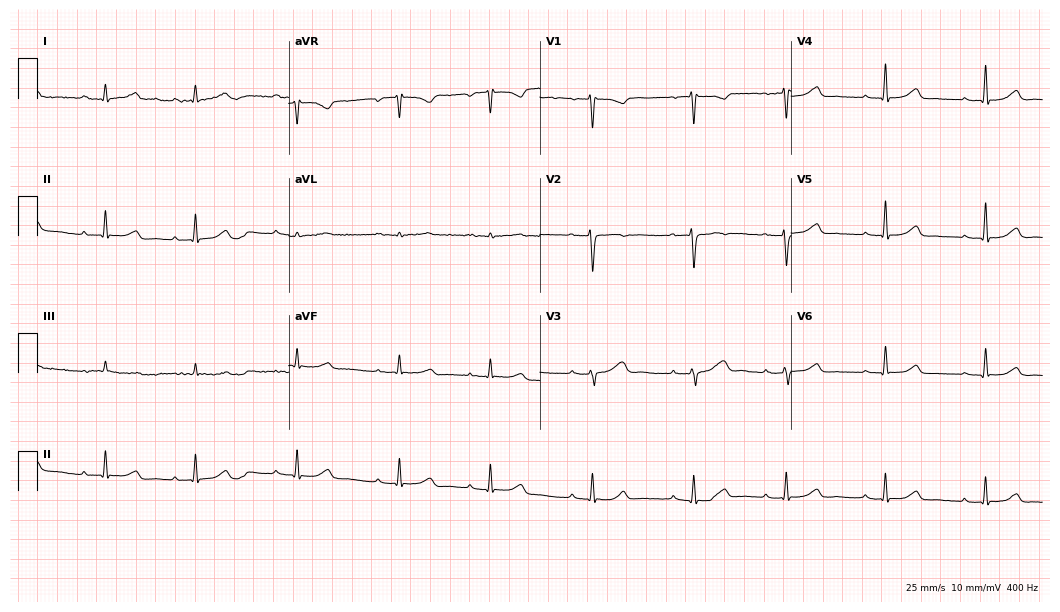
Standard 12-lead ECG recorded from a female patient, 32 years old. The tracing shows first-degree AV block.